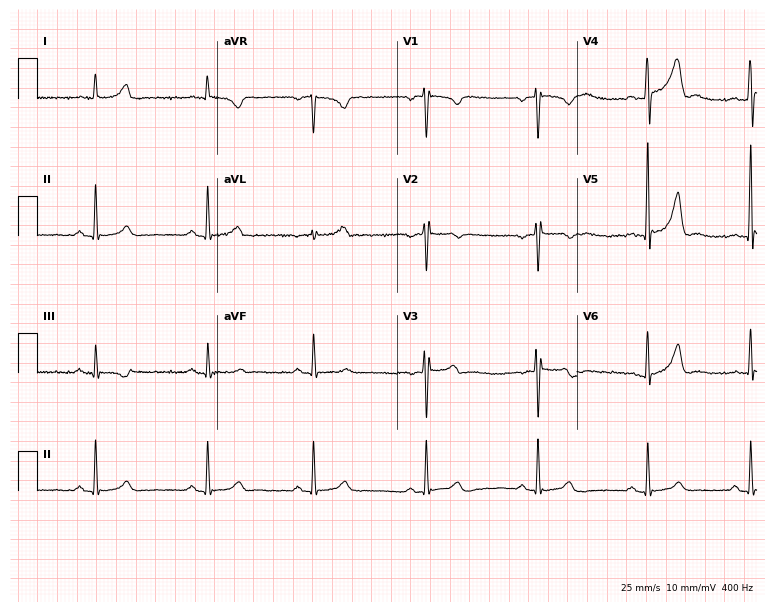
Electrocardiogram (7.3-second recording at 400 Hz), a female patient, 27 years old. Of the six screened findings (first-degree AV block, right bundle branch block (RBBB), left bundle branch block (LBBB), sinus bradycardia, atrial fibrillation (AF), sinus tachycardia), none is recorded.